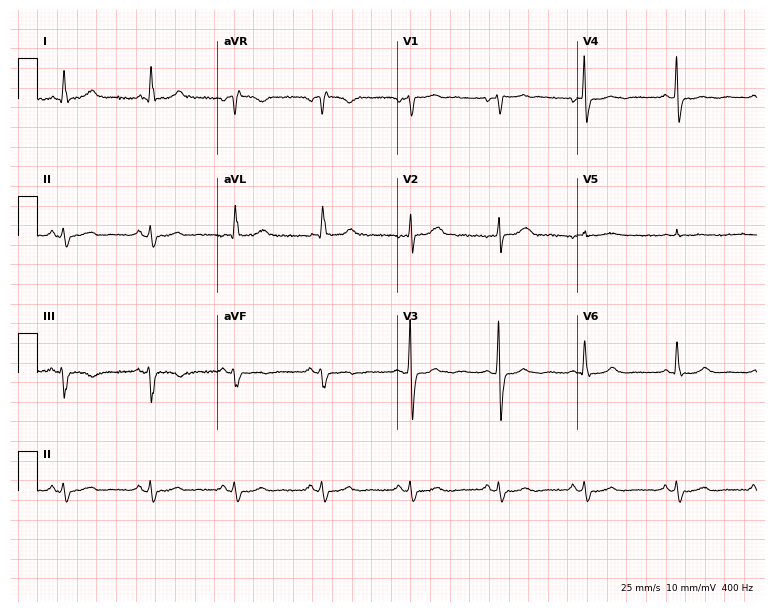
12-lead ECG from a male, 55 years old. Screened for six findings — first-degree AV block, right bundle branch block, left bundle branch block, sinus bradycardia, atrial fibrillation, sinus tachycardia — none is recorded.